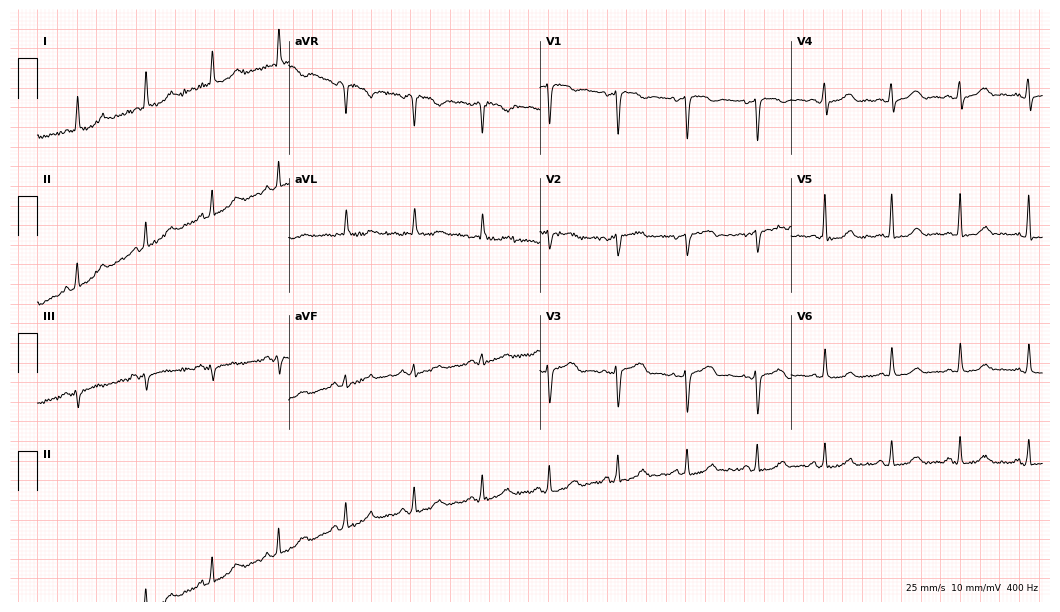
ECG — a 60-year-old female. Screened for six findings — first-degree AV block, right bundle branch block (RBBB), left bundle branch block (LBBB), sinus bradycardia, atrial fibrillation (AF), sinus tachycardia — none is recorded. Only these six findings were labelled.